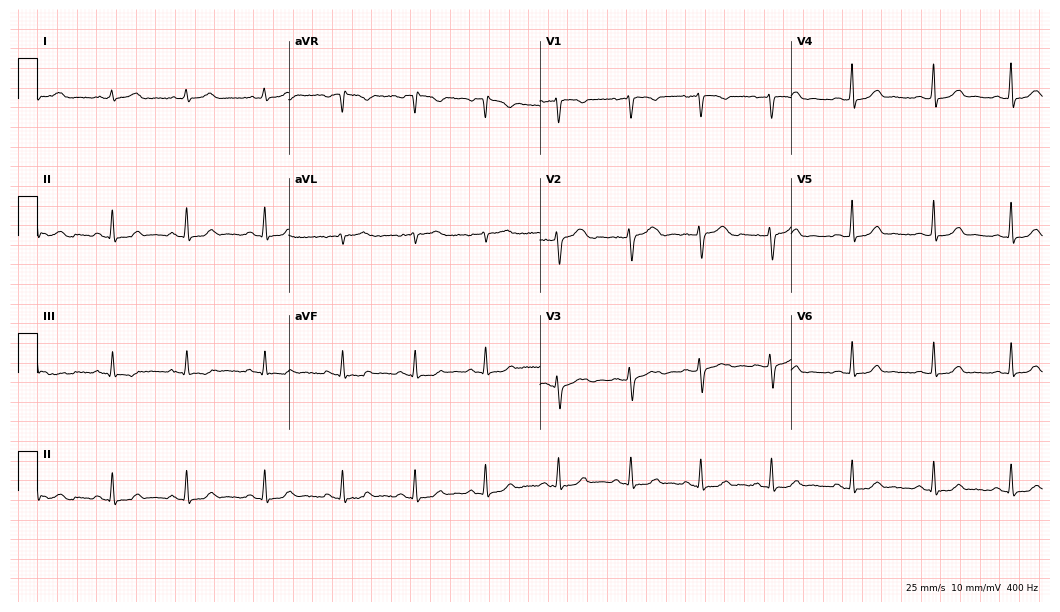
Electrocardiogram (10.2-second recording at 400 Hz), a female patient, 34 years old. Overall reading on record: normal ECG.